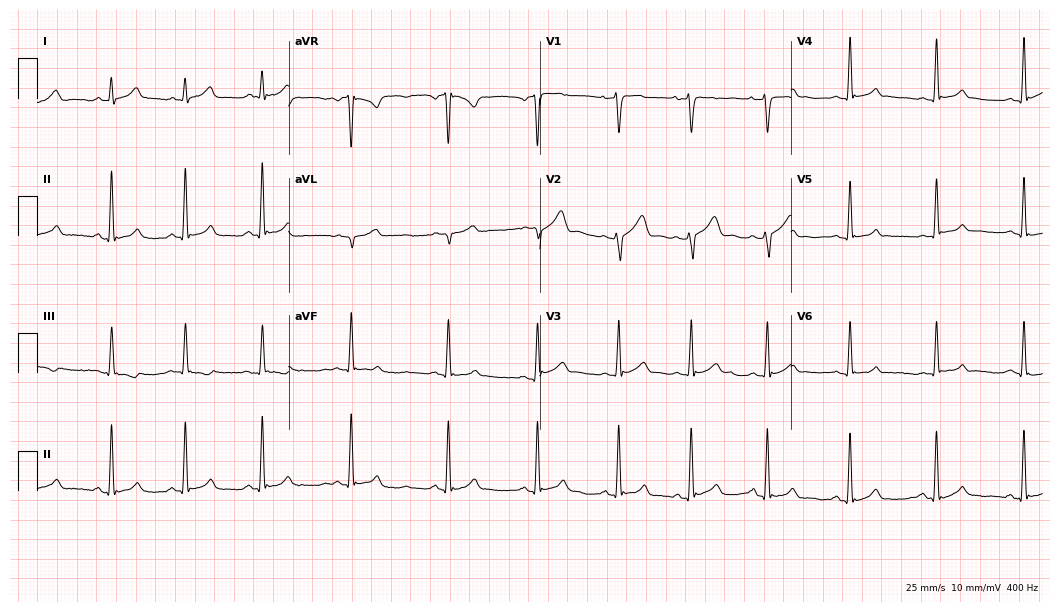
12-lead ECG (10.2-second recording at 400 Hz) from a 19-year-old man. Screened for six findings — first-degree AV block, right bundle branch block, left bundle branch block, sinus bradycardia, atrial fibrillation, sinus tachycardia — none is recorded. Other findings, if any, are not listed.